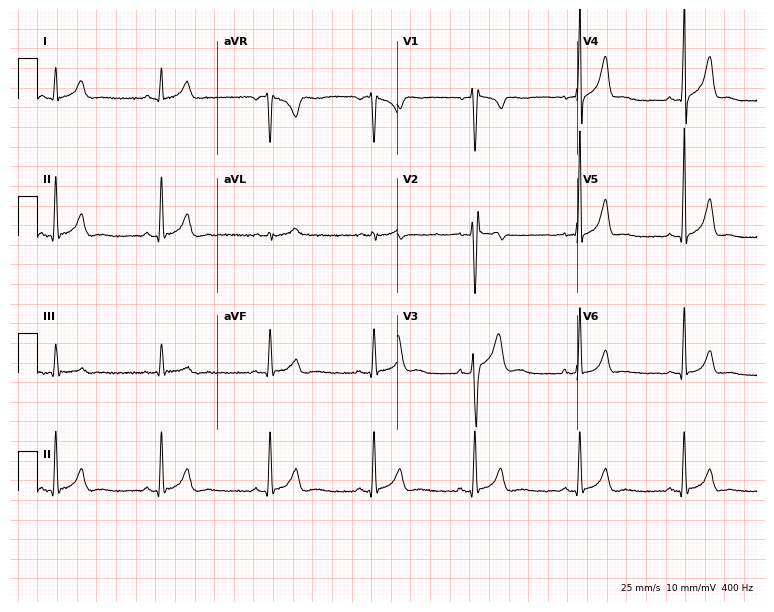
Standard 12-lead ECG recorded from a 36-year-old man. None of these six findings is recorded: first-degree AV block, right bundle branch block, left bundle branch block, sinus bradycardia, atrial fibrillation, sinus tachycardia. Only these six findings were labelled.